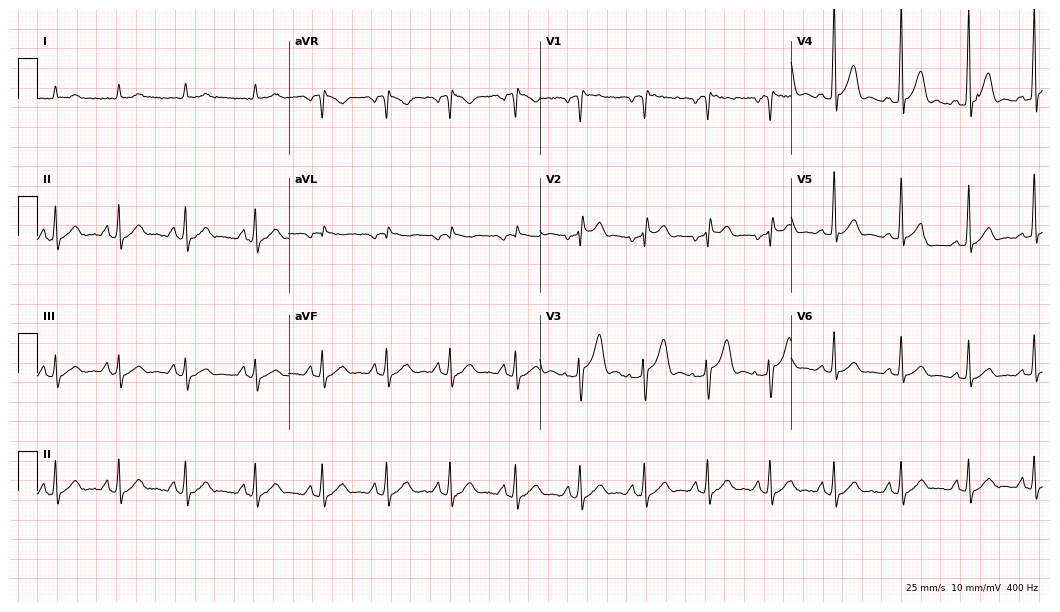
Standard 12-lead ECG recorded from a male patient, 32 years old. None of these six findings is recorded: first-degree AV block, right bundle branch block, left bundle branch block, sinus bradycardia, atrial fibrillation, sinus tachycardia.